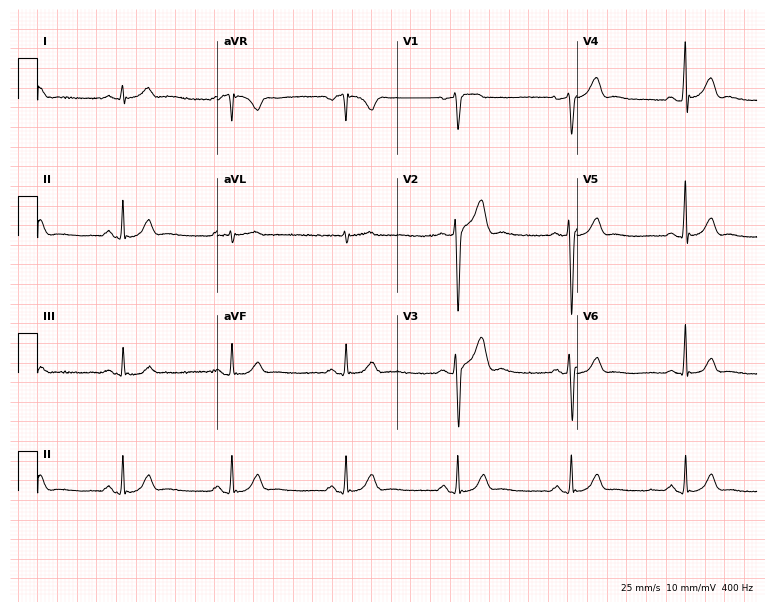
12-lead ECG from a 37-year-old male (7.3-second recording at 400 Hz). Recorded interpretation: within normal limits.